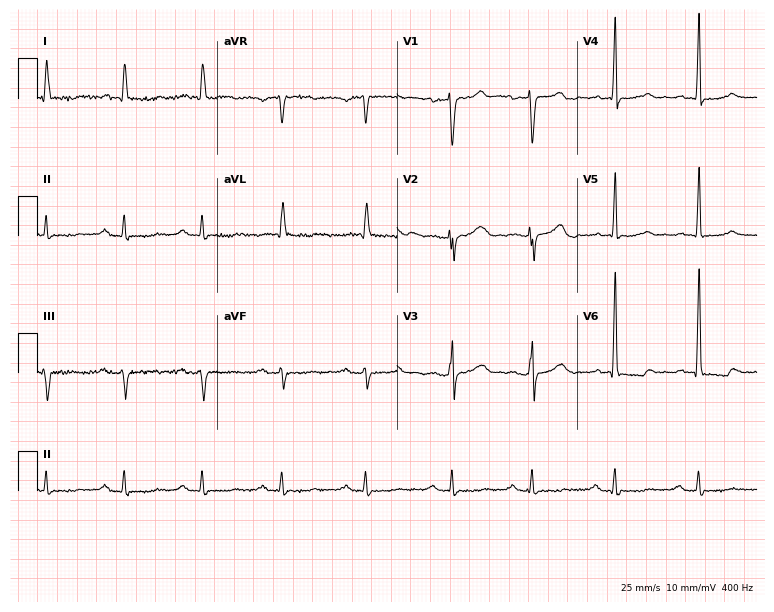
ECG (7.3-second recording at 400 Hz) — a male patient, 75 years old. Findings include first-degree AV block.